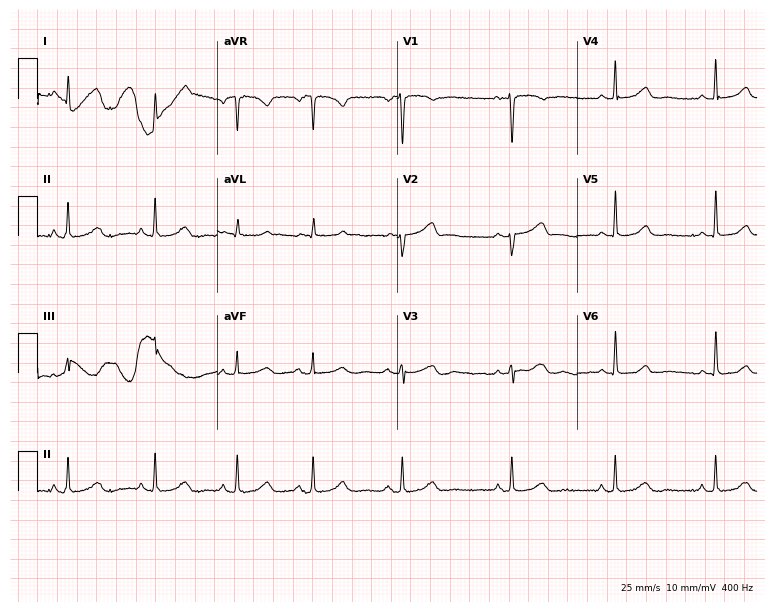
Standard 12-lead ECG recorded from a woman, 46 years old. None of these six findings is recorded: first-degree AV block, right bundle branch block, left bundle branch block, sinus bradycardia, atrial fibrillation, sinus tachycardia. Other findings, if any, are not listed.